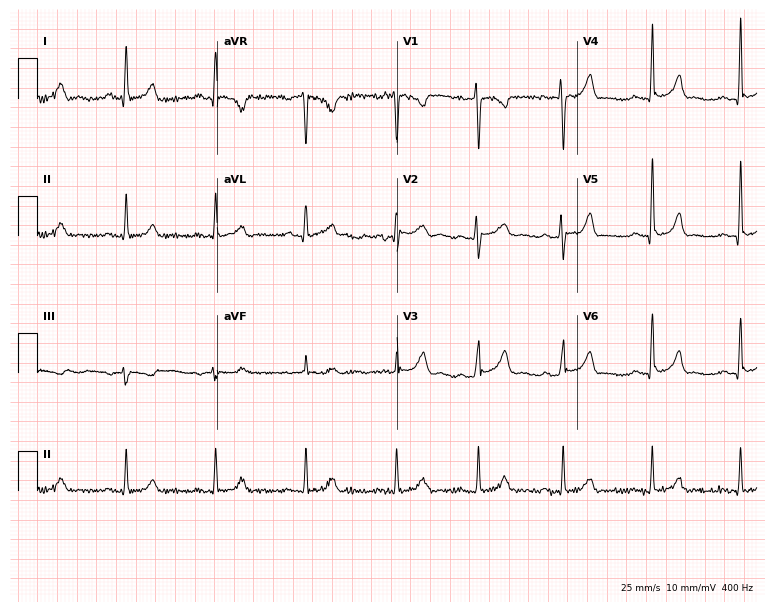
Electrocardiogram, a 35-year-old female patient. Of the six screened findings (first-degree AV block, right bundle branch block, left bundle branch block, sinus bradycardia, atrial fibrillation, sinus tachycardia), none is recorded.